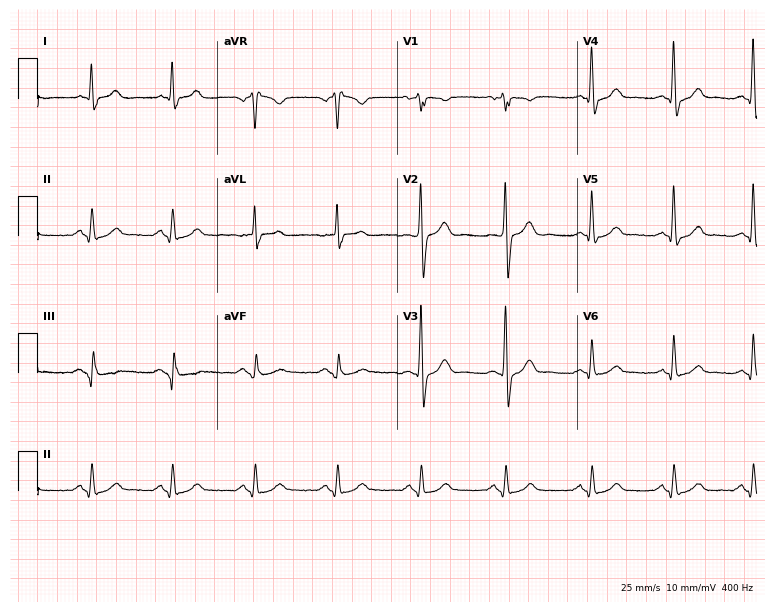
12-lead ECG from a man, 50 years old (7.3-second recording at 400 Hz). Shows right bundle branch block.